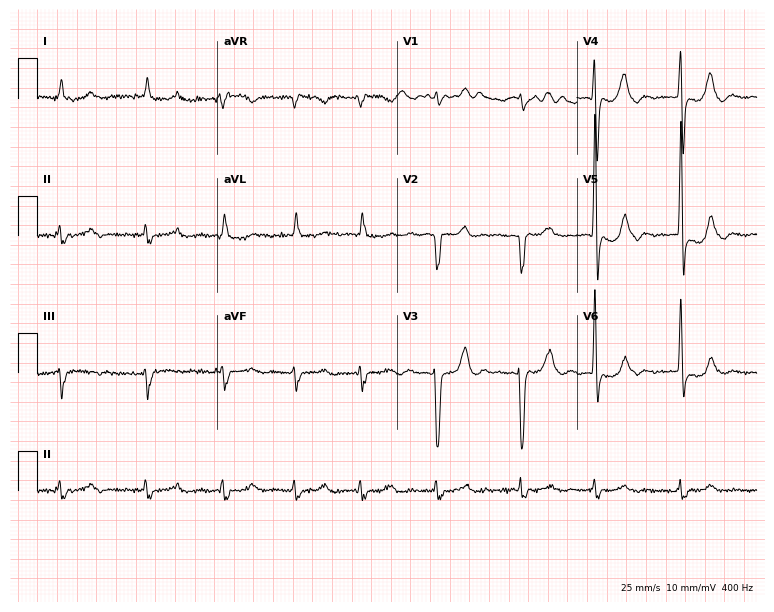
12-lead ECG from a man, 79 years old. Shows atrial fibrillation.